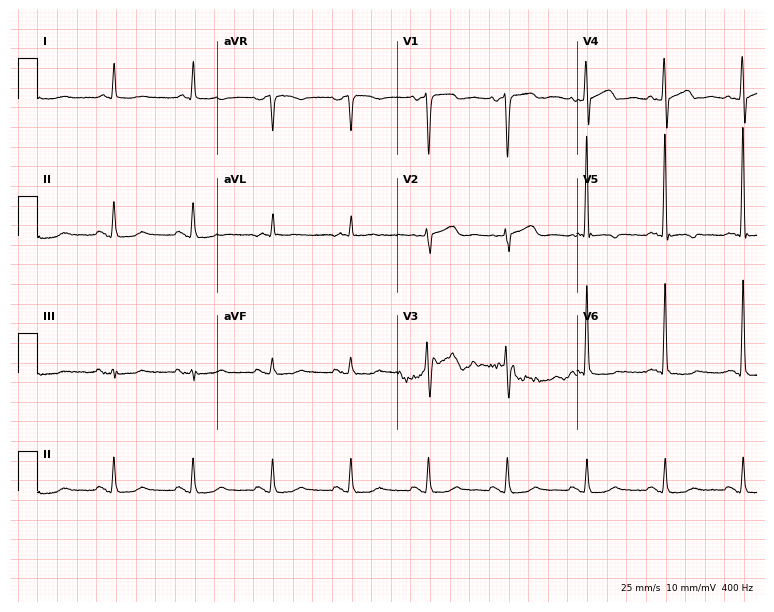
Standard 12-lead ECG recorded from a male, 73 years old. None of these six findings is recorded: first-degree AV block, right bundle branch block (RBBB), left bundle branch block (LBBB), sinus bradycardia, atrial fibrillation (AF), sinus tachycardia.